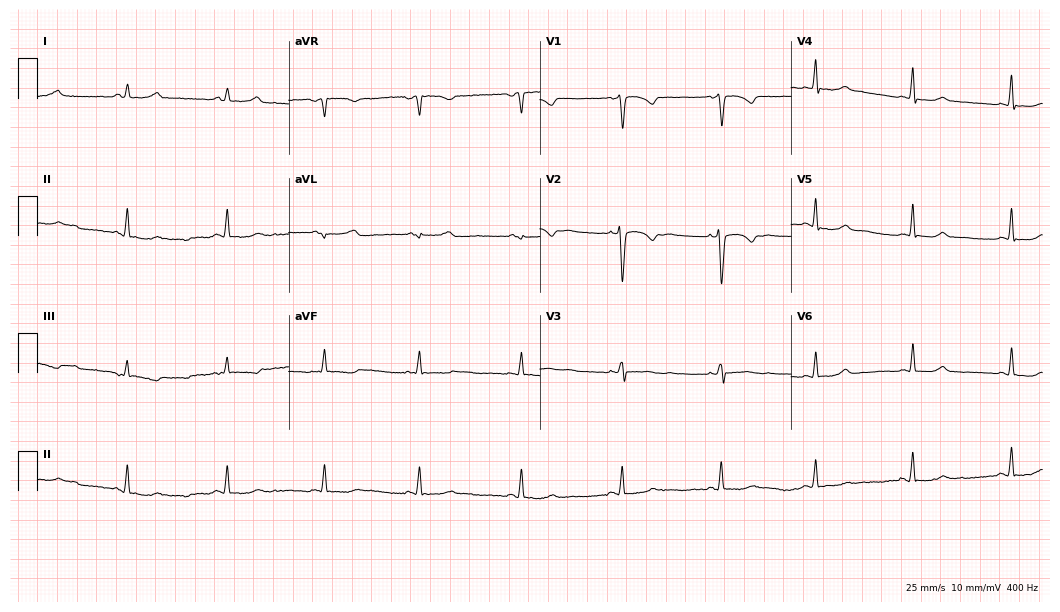
ECG (10.2-second recording at 400 Hz) — a woman, 31 years old. Screened for six findings — first-degree AV block, right bundle branch block, left bundle branch block, sinus bradycardia, atrial fibrillation, sinus tachycardia — none is recorded.